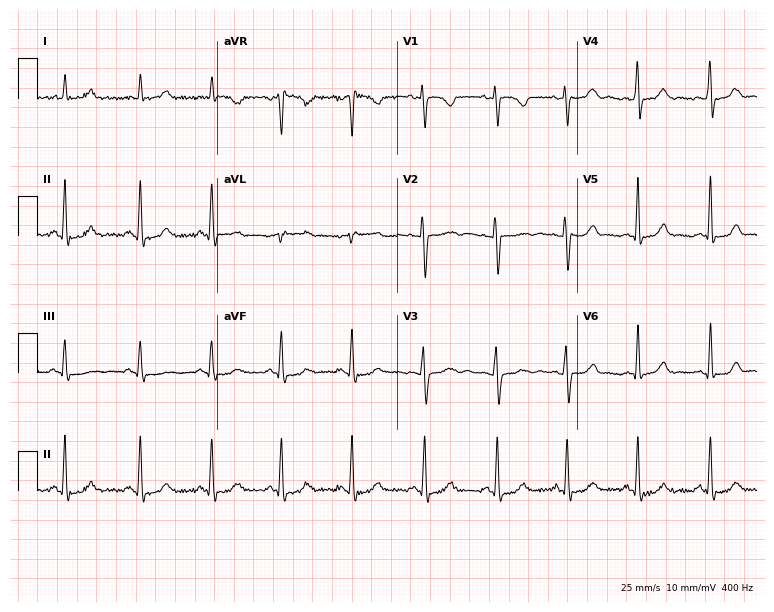
12-lead ECG from a 33-year-old female patient (7.3-second recording at 400 Hz). No first-degree AV block, right bundle branch block, left bundle branch block, sinus bradycardia, atrial fibrillation or sinus tachycardia recorded for this tracing.